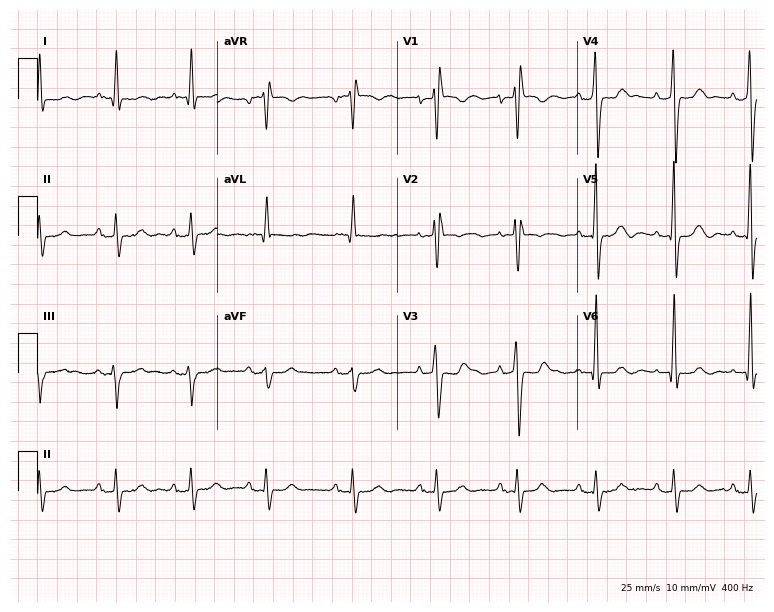
Electrocardiogram, a man, 87 years old. Interpretation includes right bundle branch block (RBBB).